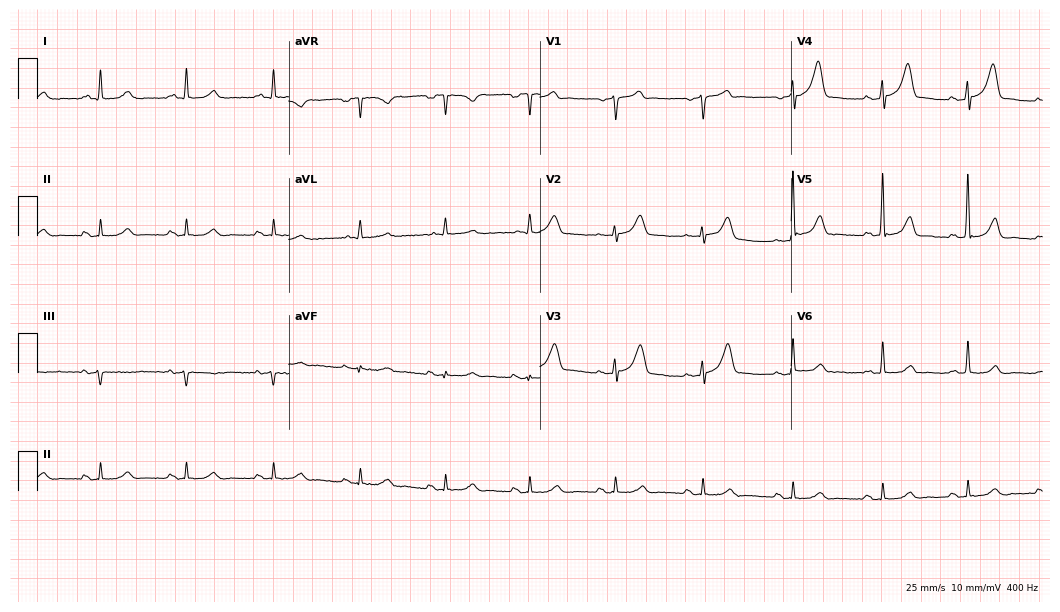
12-lead ECG from a 53-year-old male. Labelled as a normal ECG.